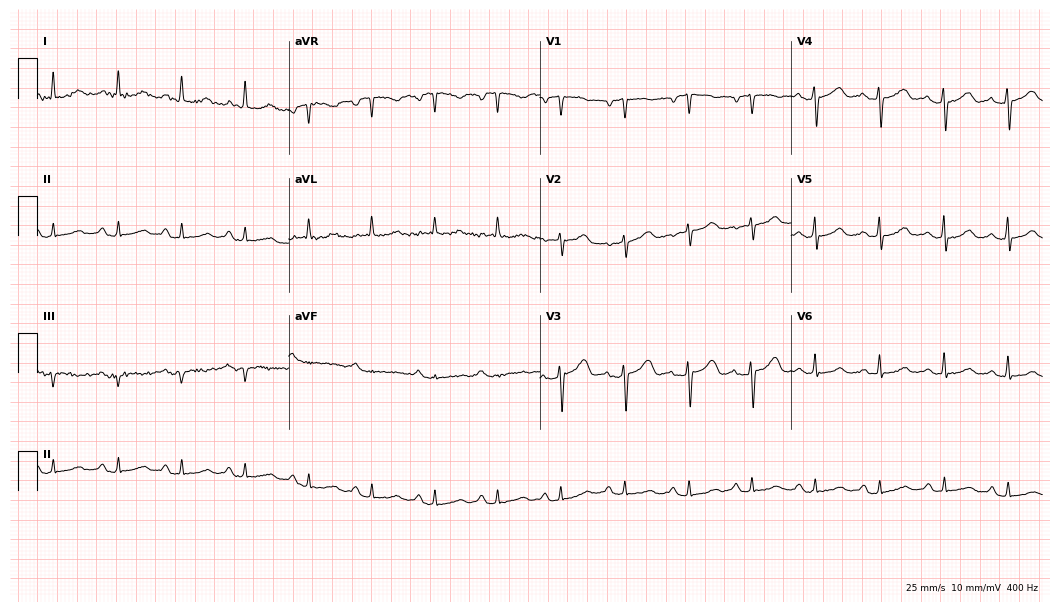
12-lead ECG from a female patient, 75 years old (10.2-second recording at 400 Hz). Recorded interpretation: within normal limits.